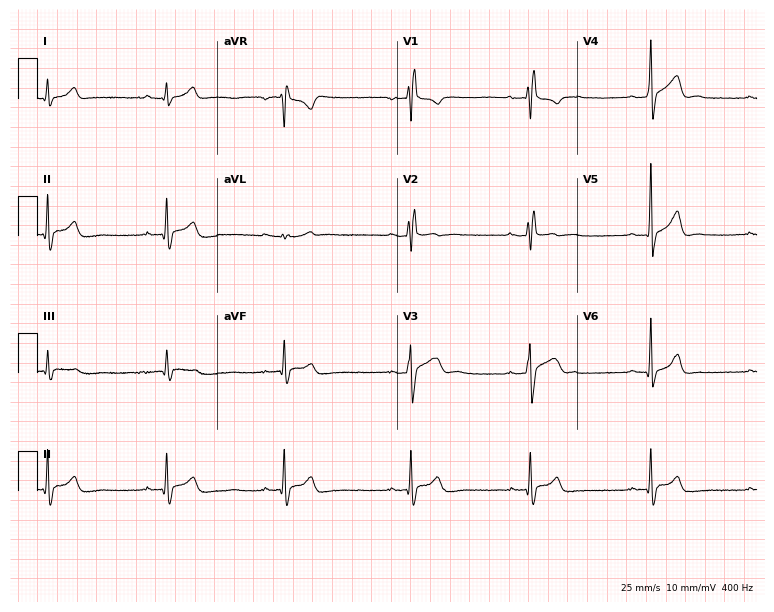
ECG — a 21-year-old man. Screened for six findings — first-degree AV block, right bundle branch block, left bundle branch block, sinus bradycardia, atrial fibrillation, sinus tachycardia — none is recorded.